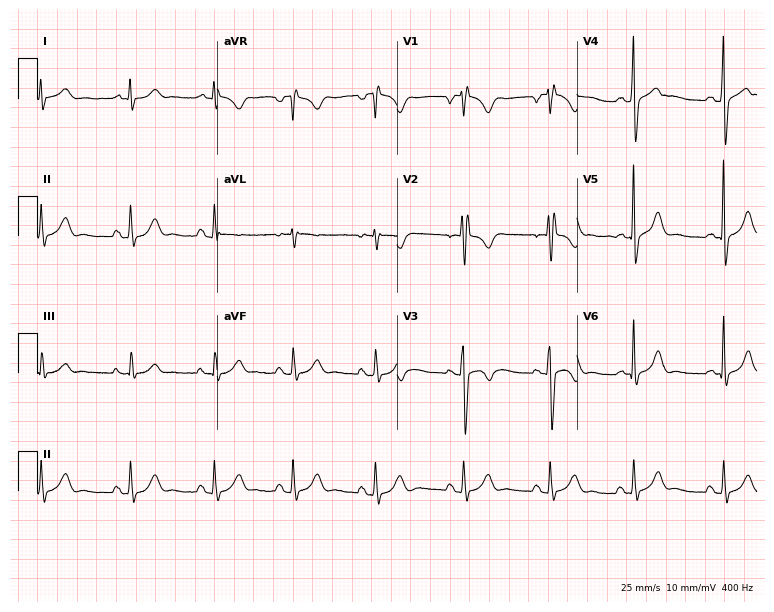
ECG — a male patient, 27 years old. Screened for six findings — first-degree AV block, right bundle branch block, left bundle branch block, sinus bradycardia, atrial fibrillation, sinus tachycardia — none is recorded.